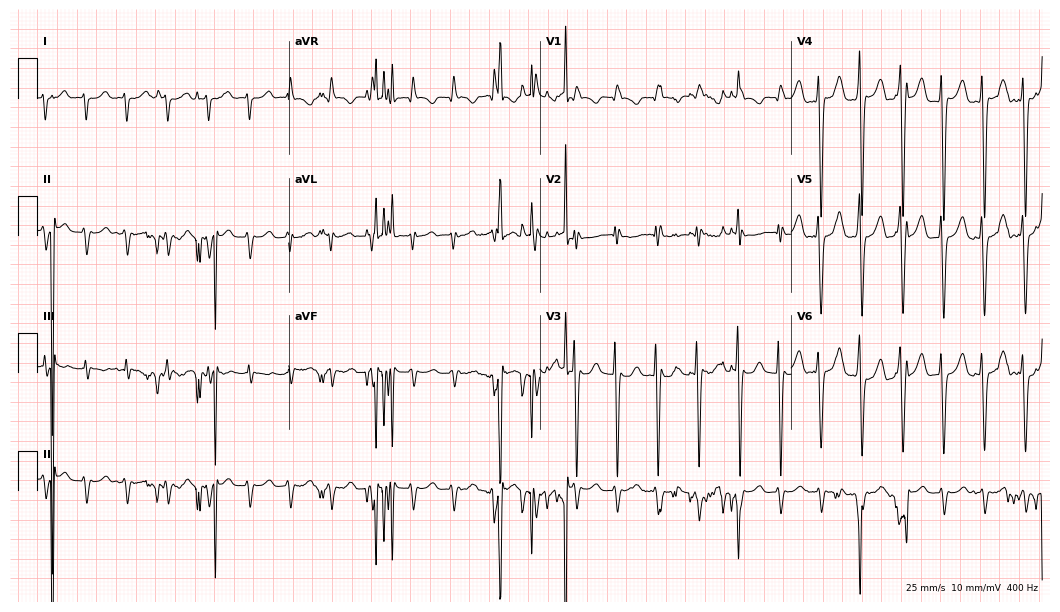
Resting 12-lead electrocardiogram. Patient: a 58-year-old female. None of these six findings is recorded: first-degree AV block, right bundle branch block, left bundle branch block, sinus bradycardia, atrial fibrillation, sinus tachycardia. Only these six findings were labelled.